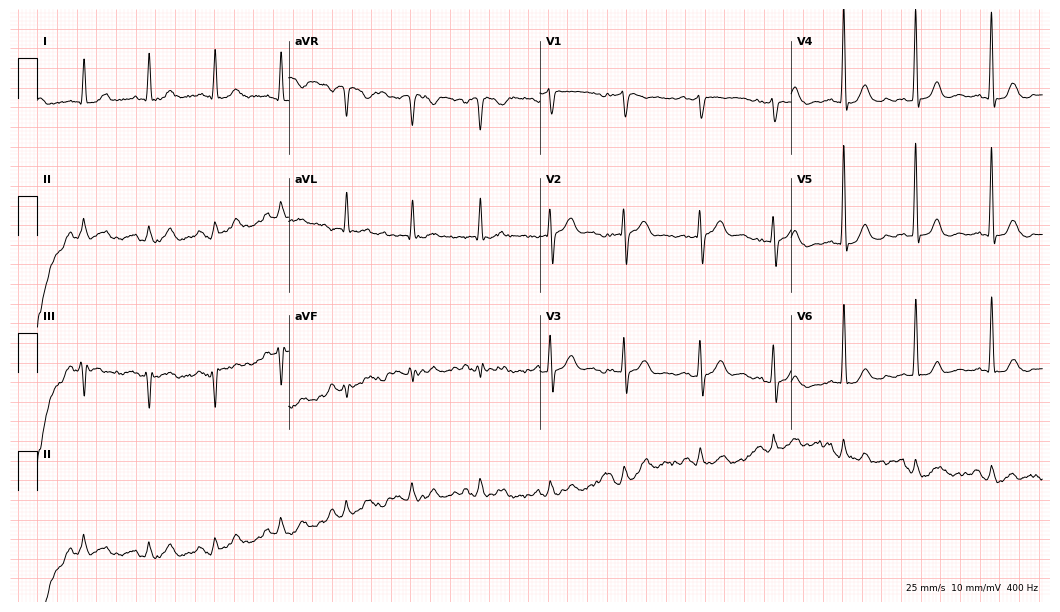
ECG (10.2-second recording at 400 Hz) — a 75-year-old man. Screened for six findings — first-degree AV block, right bundle branch block, left bundle branch block, sinus bradycardia, atrial fibrillation, sinus tachycardia — none is recorded. Only these six findings were labelled.